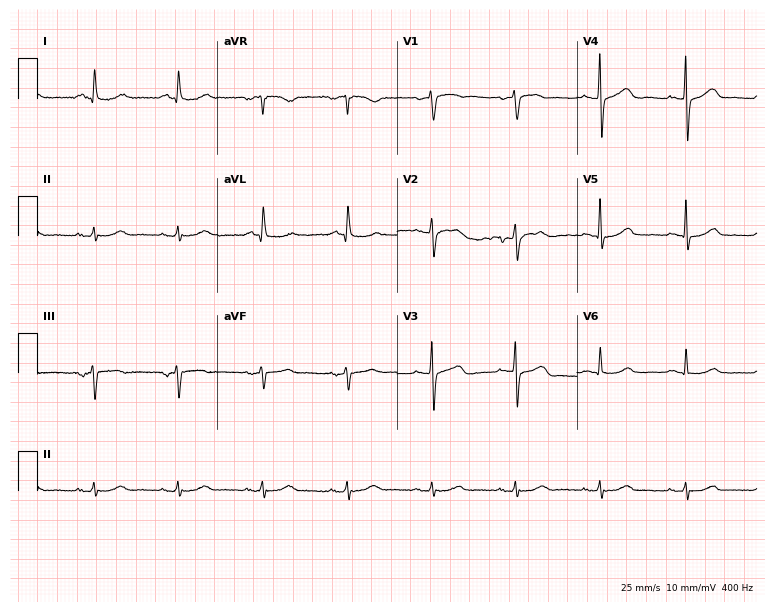
ECG (7.3-second recording at 400 Hz) — a 77-year-old male. Screened for six findings — first-degree AV block, right bundle branch block (RBBB), left bundle branch block (LBBB), sinus bradycardia, atrial fibrillation (AF), sinus tachycardia — none is recorded. Findings outside these six are not listed.